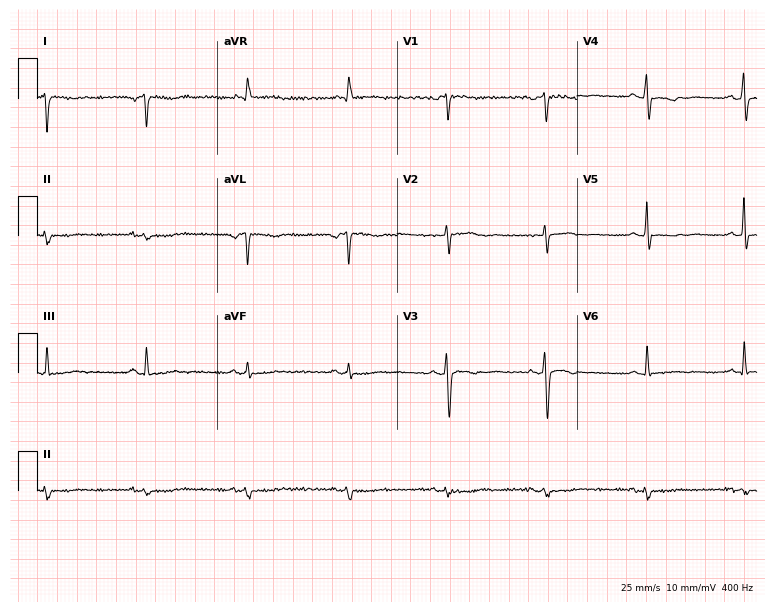
Standard 12-lead ECG recorded from a female patient, 53 years old (7.3-second recording at 400 Hz). None of these six findings is recorded: first-degree AV block, right bundle branch block, left bundle branch block, sinus bradycardia, atrial fibrillation, sinus tachycardia.